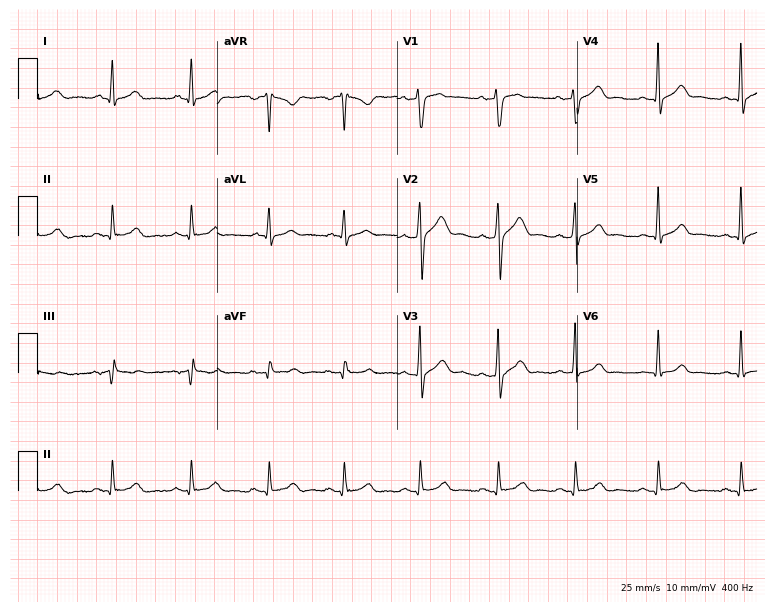
12-lead ECG from a man, 46 years old. Labelled as a normal ECG.